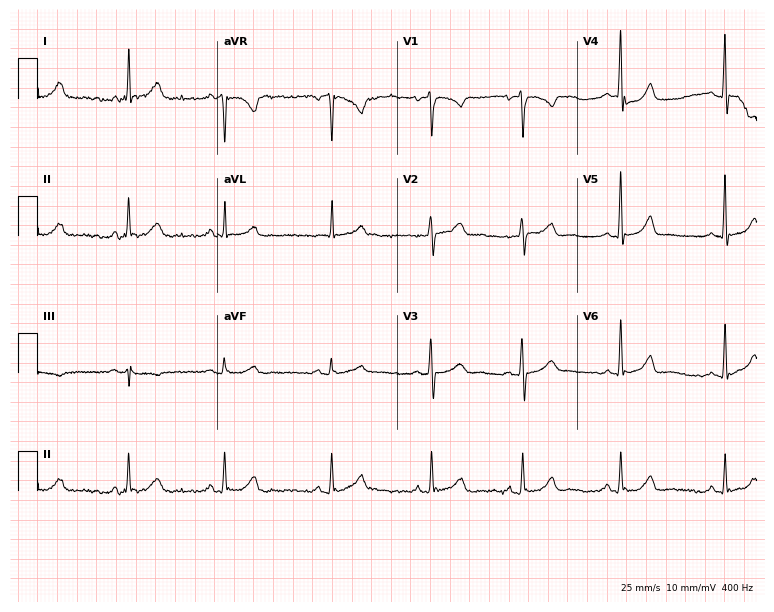
ECG — a female patient, 43 years old. Labelled as a normal ECG.